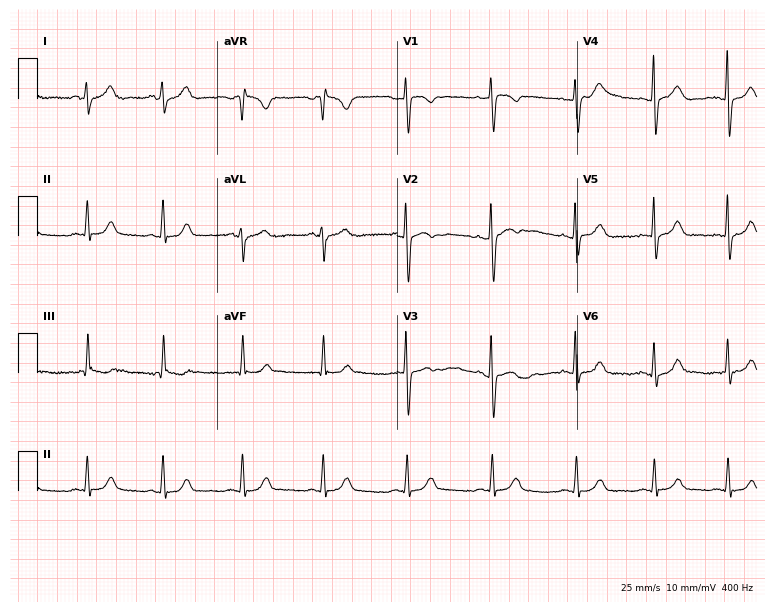
12-lead ECG from a female, 23 years old. Labelled as a normal ECG.